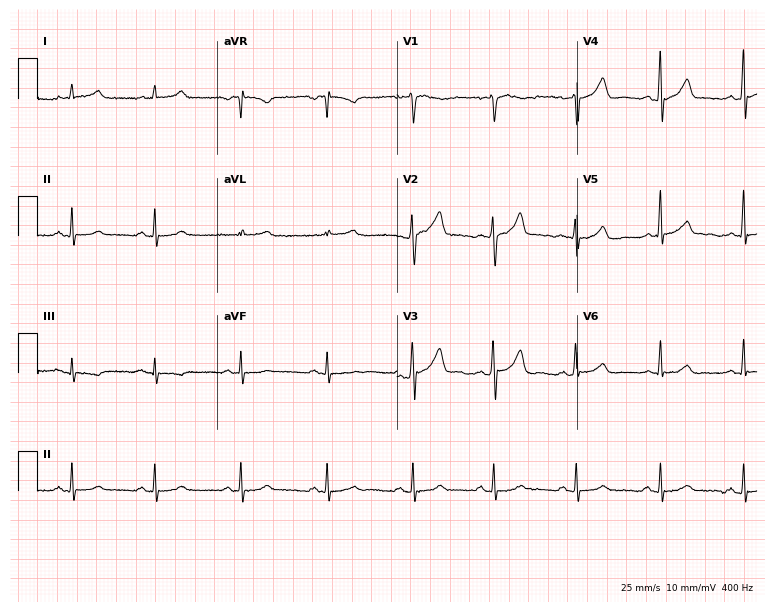
Resting 12-lead electrocardiogram (7.3-second recording at 400 Hz). Patient: a 53-year-old man. Read as a normal ECG.